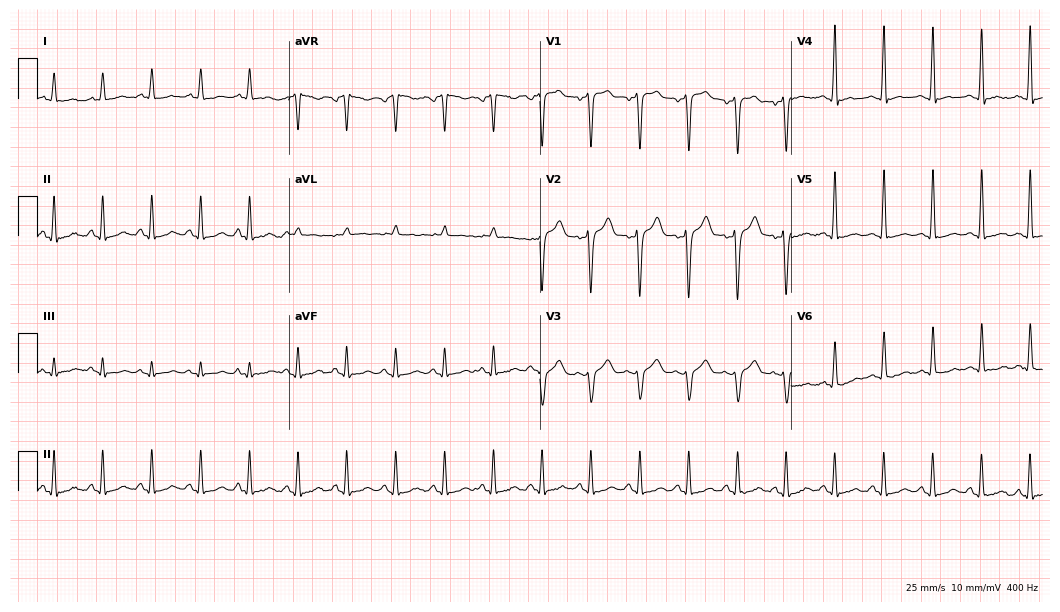
Standard 12-lead ECG recorded from a 45-year-old female (10.2-second recording at 400 Hz). The tracing shows sinus tachycardia (a sinus rate of 100 beats per minute or more).